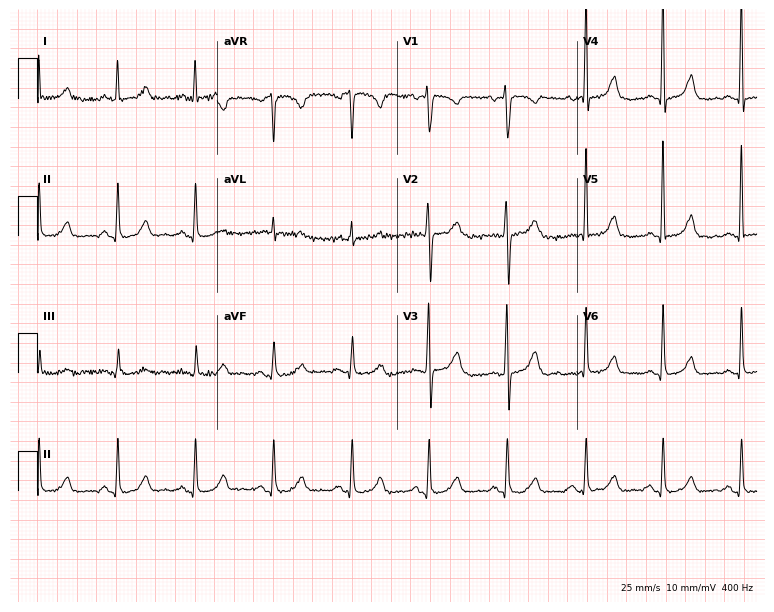
Standard 12-lead ECG recorded from a 68-year-old female. Read as a normal ECG.